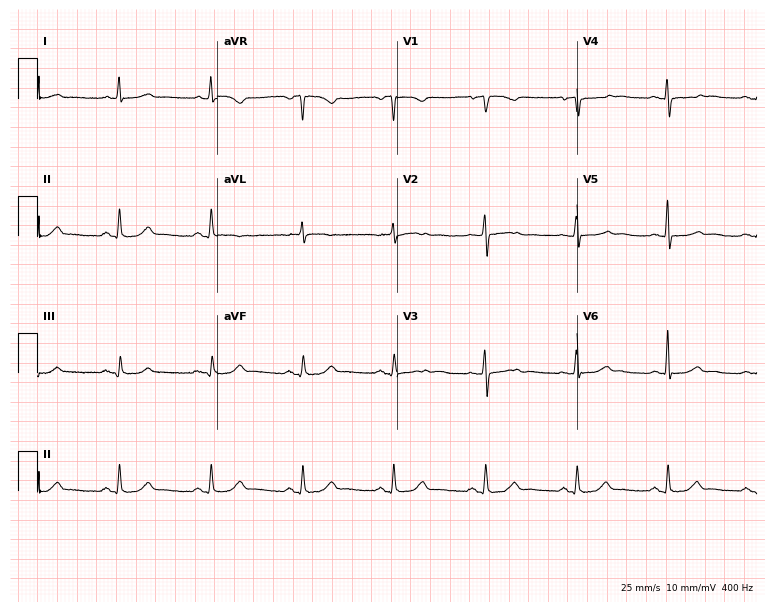
Electrocardiogram, a female patient, 81 years old. Of the six screened findings (first-degree AV block, right bundle branch block, left bundle branch block, sinus bradycardia, atrial fibrillation, sinus tachycardia), none is recorded.